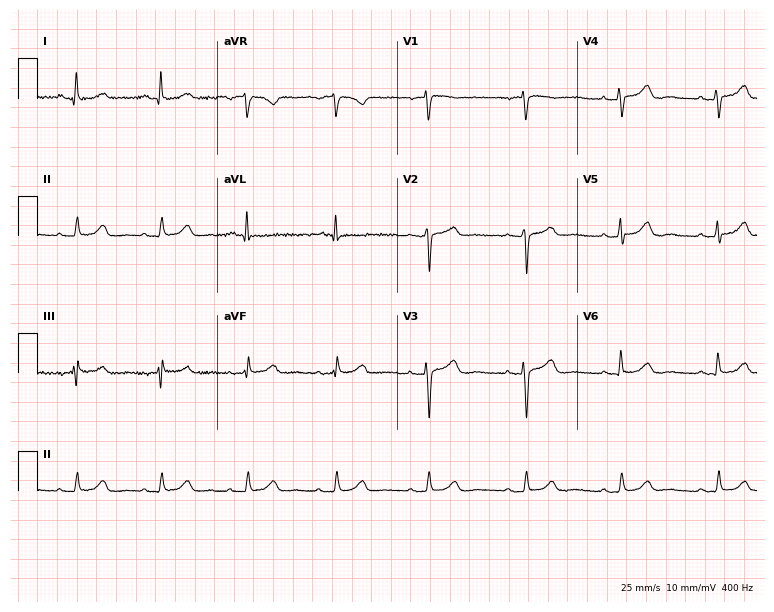
Standard 12-lead ECG recorded from a 67-year-old woman. Read as a normal ECG.